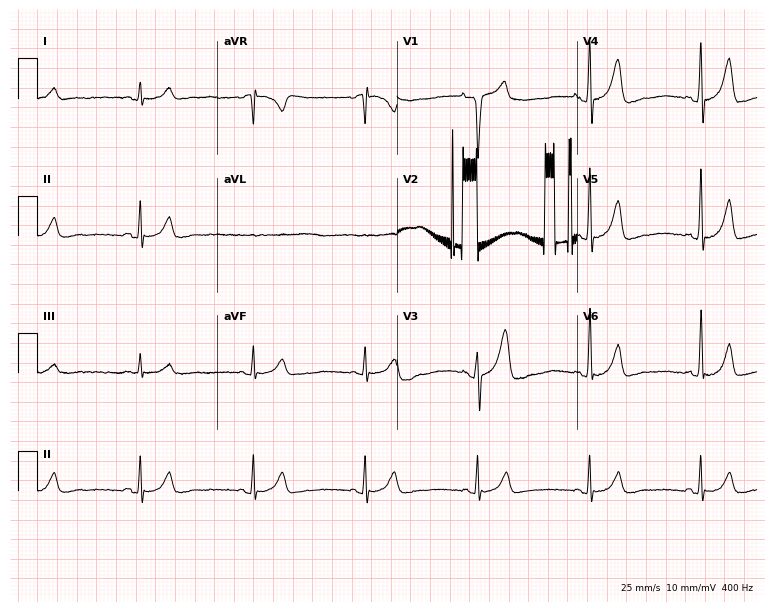
ECG (7.3-second recording at 400 Hz) — a male, 69 years old. Labelled as a normal ECG.